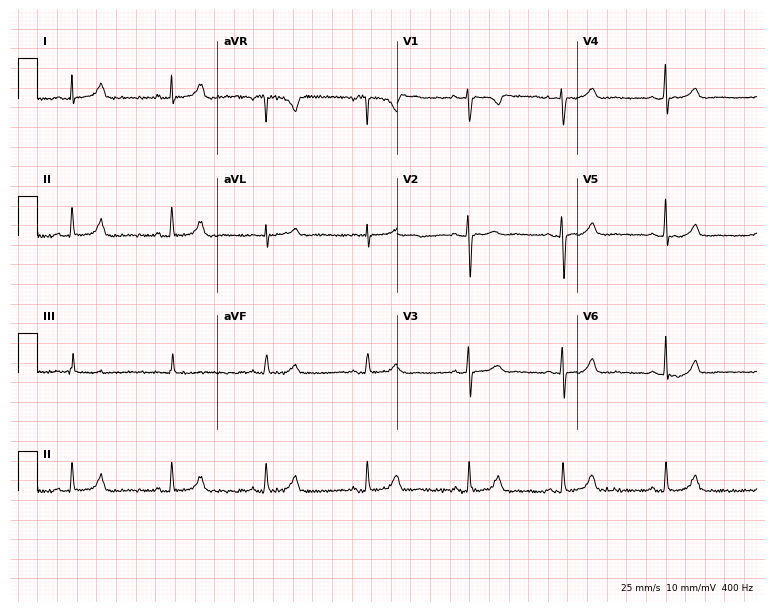
ECG — a 30-year-old female. Screened for six findings — first-degree AV block, right bundle branch block (RBBB), left bundle branch block (LBBB), sinus bradycardia, atrial fibrillation (AF), sinus tachycardia — none is recorded.